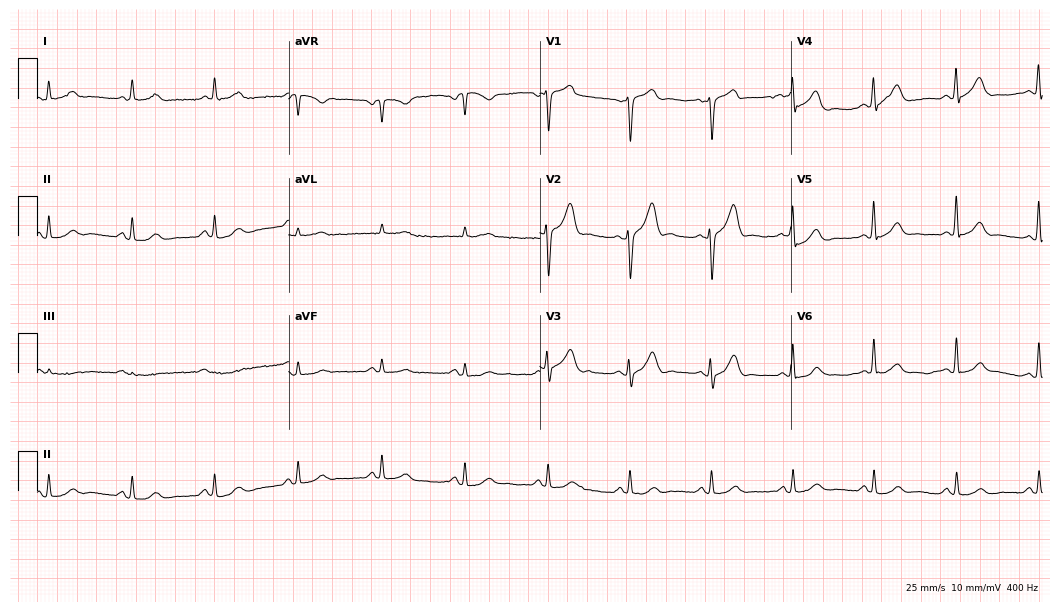
Resting 12-lead electrocardiogram. Patient: a 63-year-old male. Read as a normal ECG.